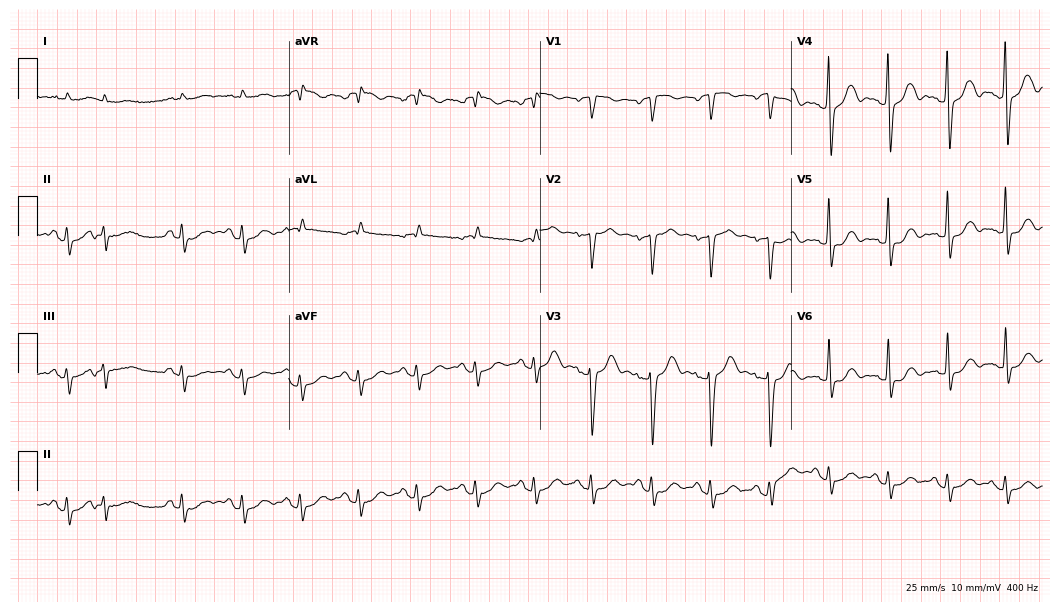
12-lead ECG from a 79-year-old man. No first-degree AV block, right bundle branch block, left bundle branch block, sinus bradycardia, atrial fibrillation or sinus tachycardia recorded for this tracing. Only these six findings were labelled.